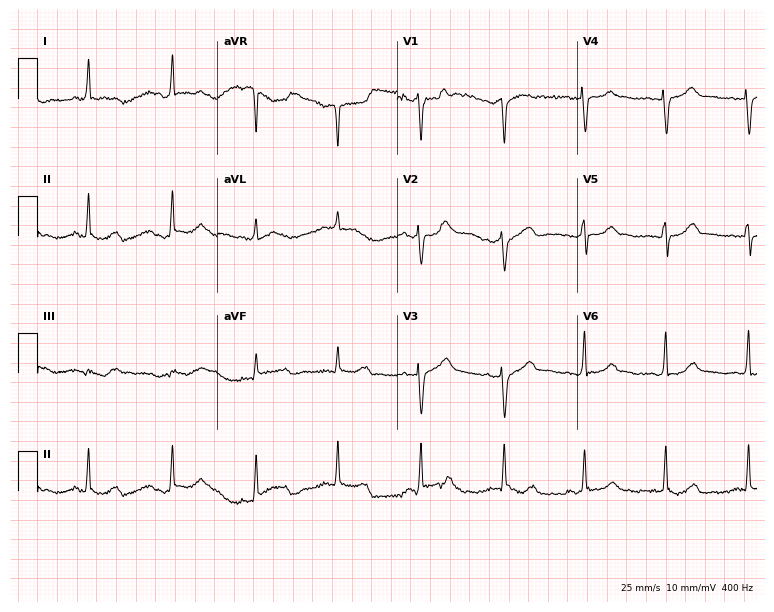
Electrocardiogram (7.3-second recording at 400 Hz), a 42-year-old woman. Overall reading on record: normal ECG.